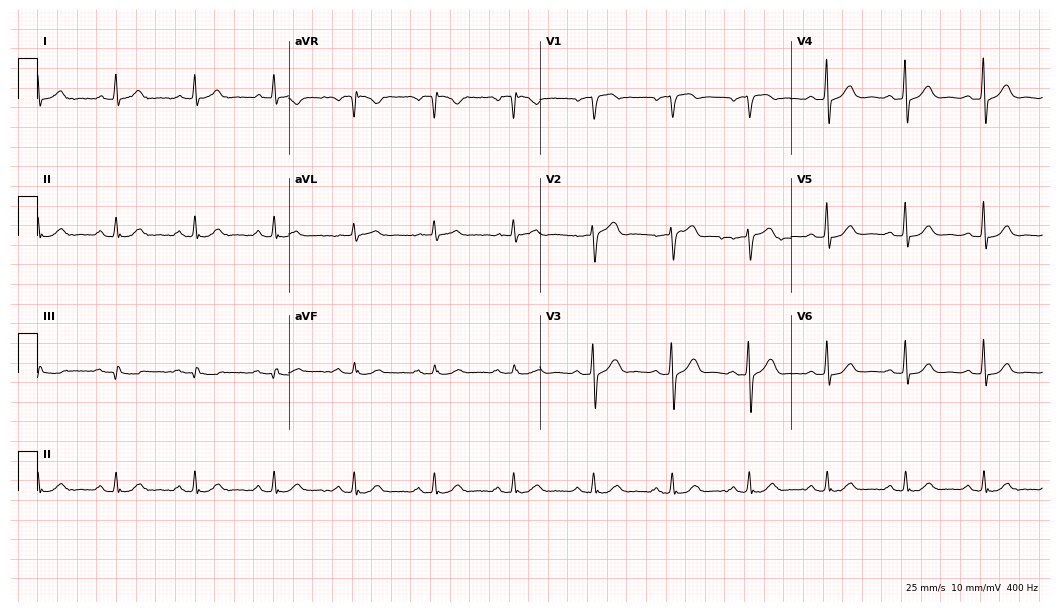
Resting 12-lead electrocardiogram (10.2-second recording at 400 Hz). Patient: a man, 54 years old. Read as a normal ECG.